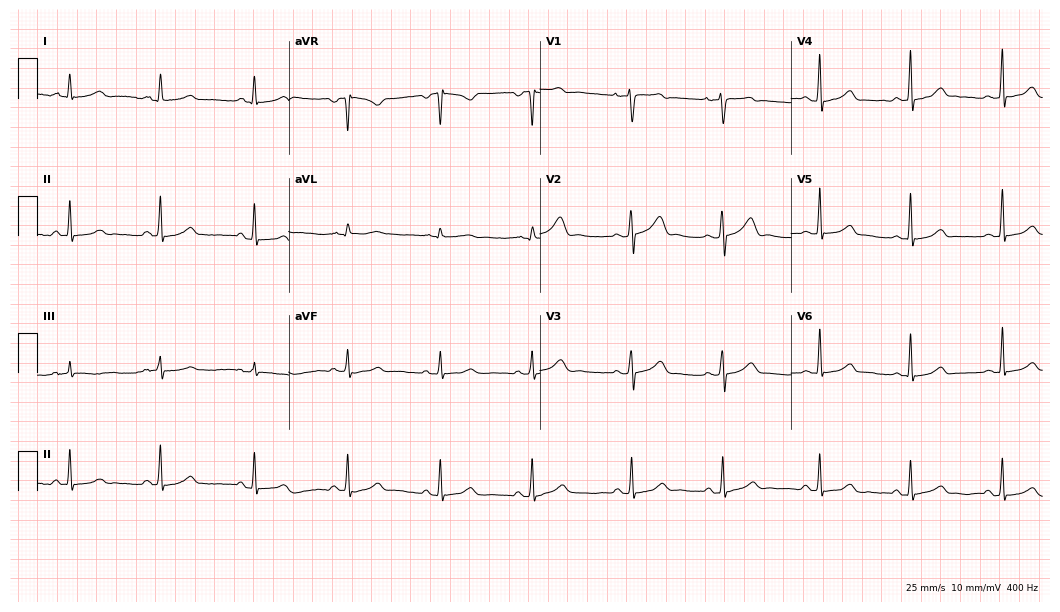
12-lead ECG from a female, 30 years old. Recorded interpretation: within normal limits.